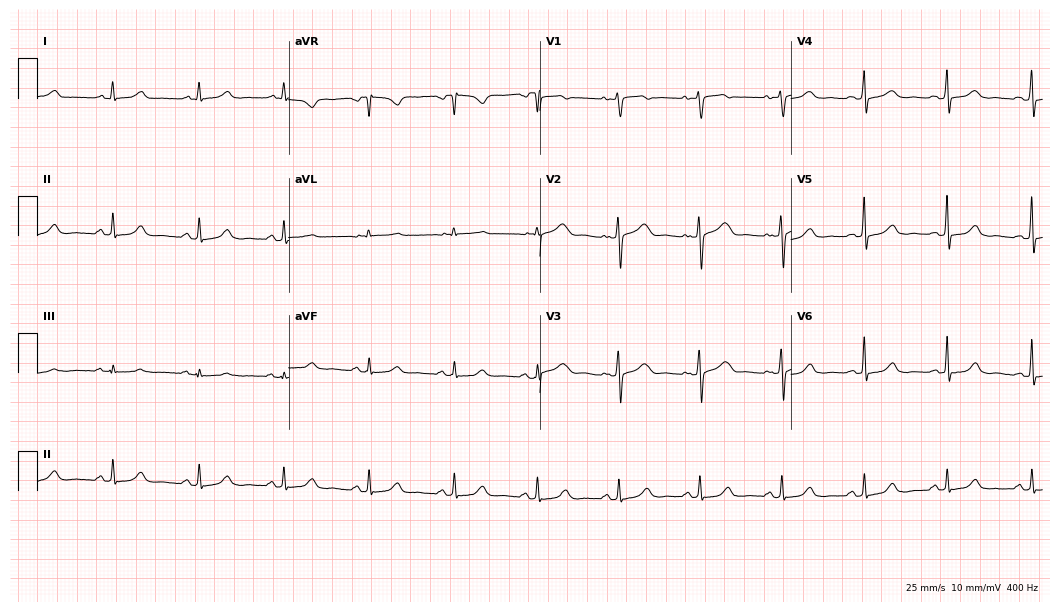
Electrocardiogram, a female patient, 53 years old. Overall reading on record: normal ECG.